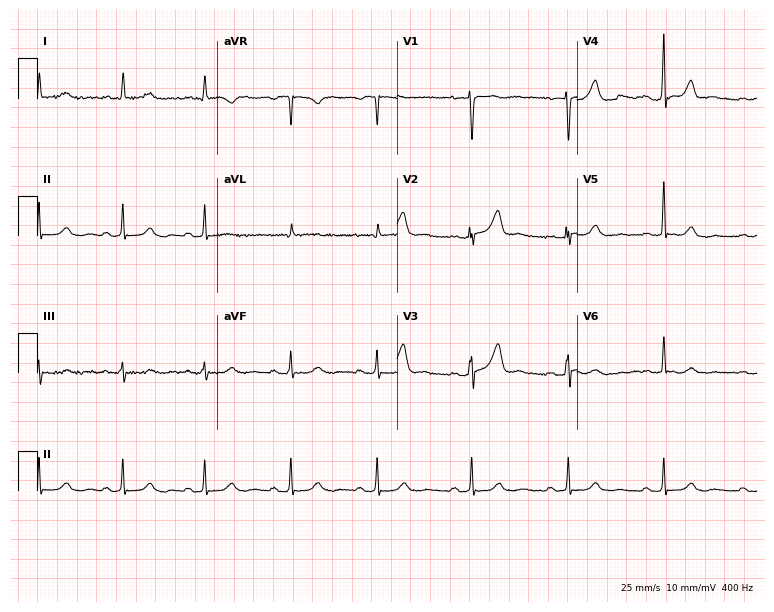
ECG (7.3-second recording at 400 Hz) — a 44-year-old woman. Labelled as a normal ECG.